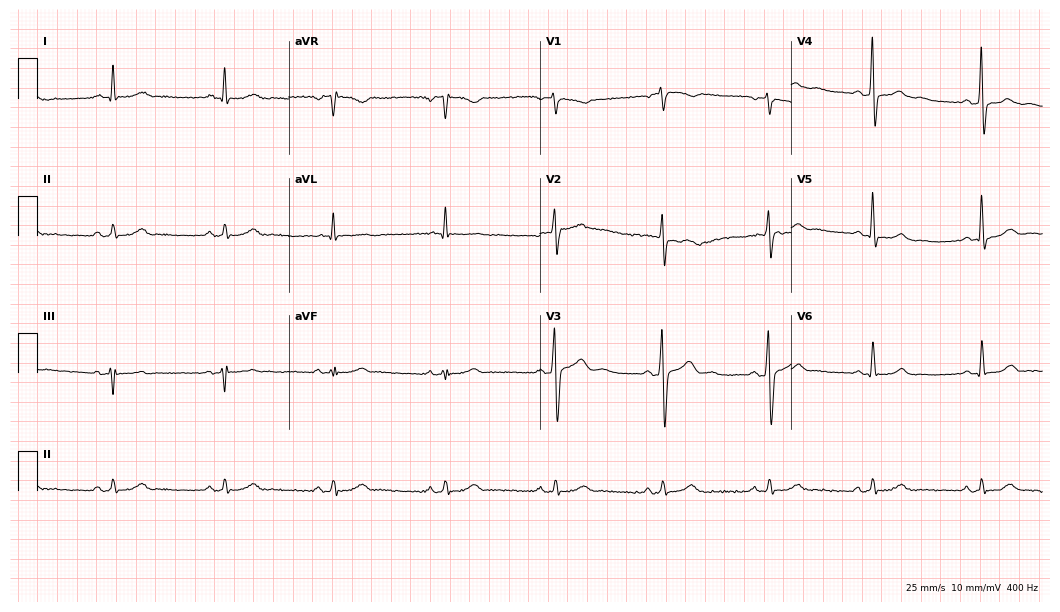
12-lead ECG from a man, 40 years old. Labelled as a normal ECG.